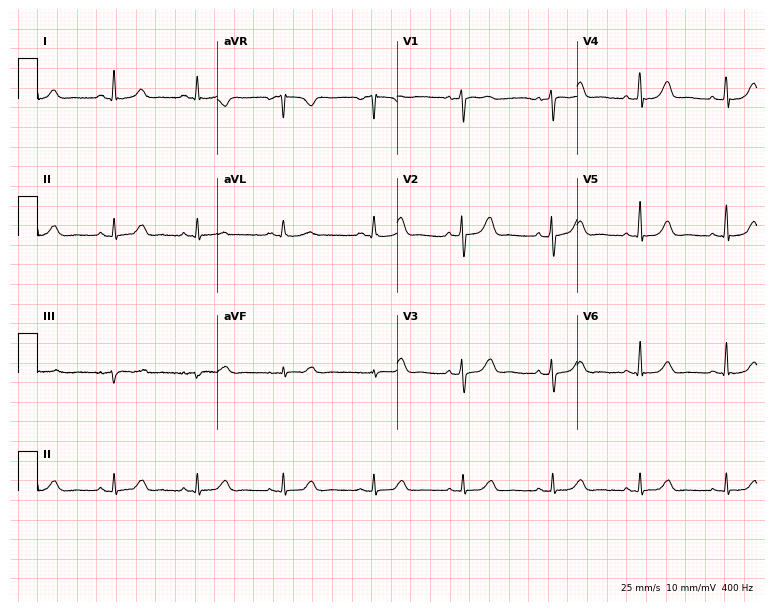
12-lead ECG (7.3-second recording at 400 Hz) from a female patient, 60 years old. Screened for six findings — first-degree AV block, right bundle branch block, left bundle branch block, sinus bradycardia, atrial fibrillation, sinus tachycardia — none is recorded.